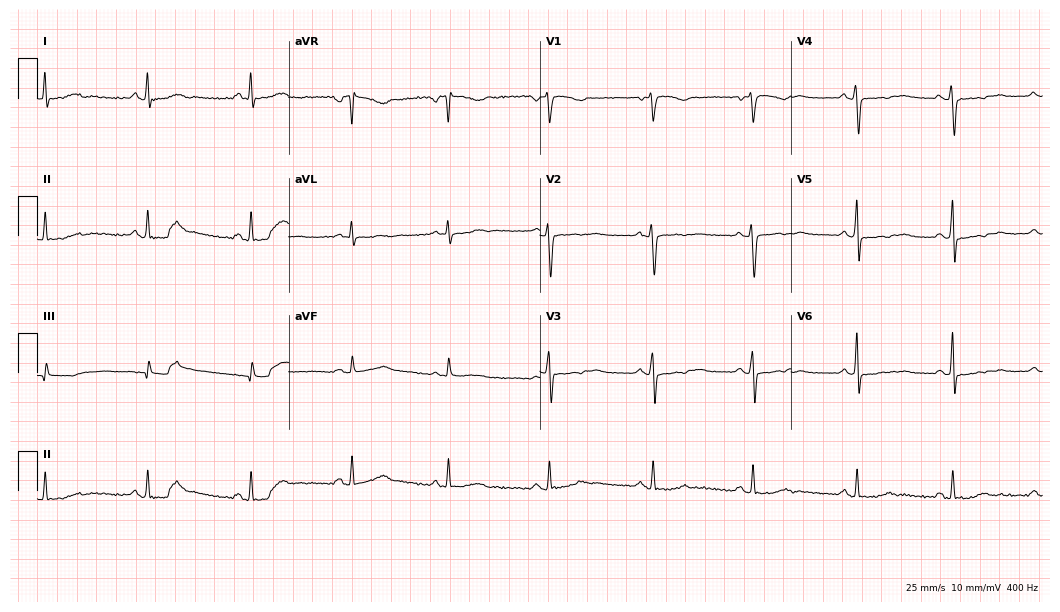
12-lead ECG from a 42-year-old woman. No first-degree AV block, right bundle branch block, left bundle branch block, sinus bradycardia, atrial fibrillation or sinus tachycardia recorded for this tracing.